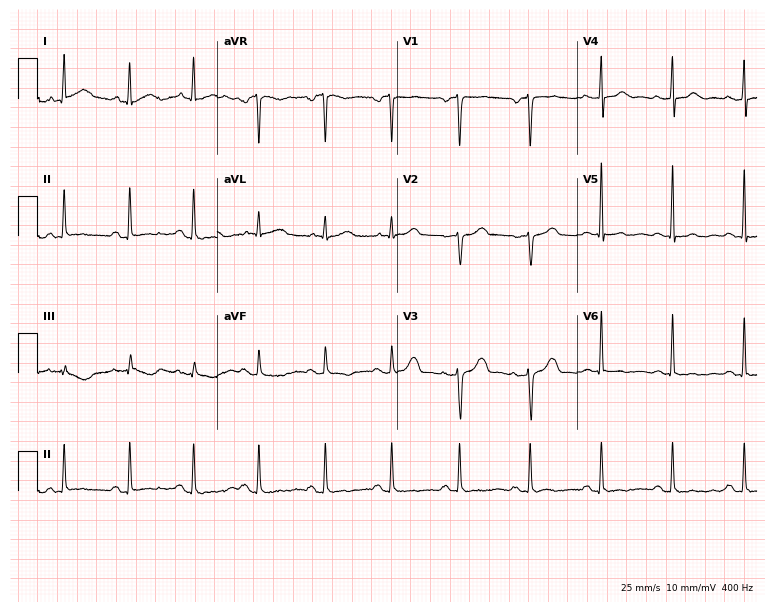
Resting 12-lead electrocardiogram (7.3-second recording at 400 Hz). Patient: a female, 49 years old. None of these six findings is recorded: first-degree AV block, right bundle branch block, left bundle branch block, sinus bradycardia, atrial fibrillation, sinus tachycardia. Other findings, if any, are not listed.